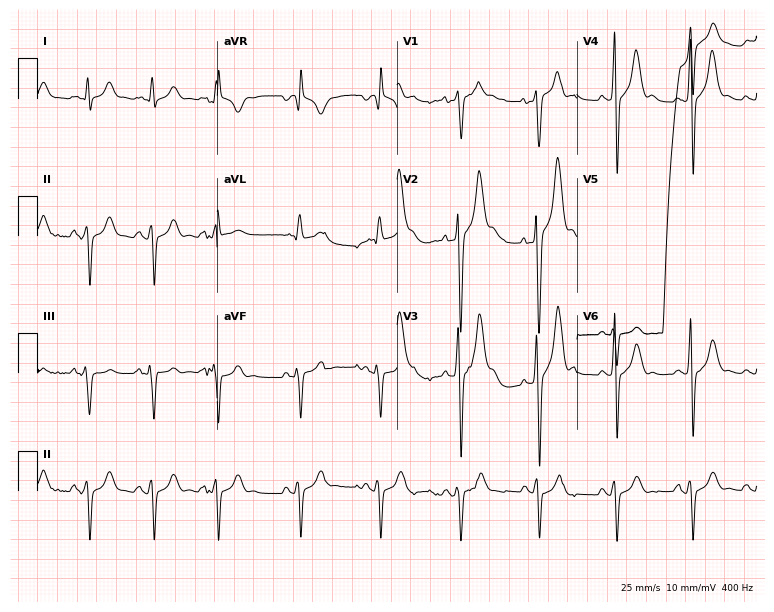
Standard 12-lead ECG recorded from a male patient, 46 years old. None of these six findings is recorded: first-degree AV block, right bundle branch block, left bundle branch block, sinus bradycardia, atrial fibrillation, sinus tachycardia. Other findings, if any, are not listed.